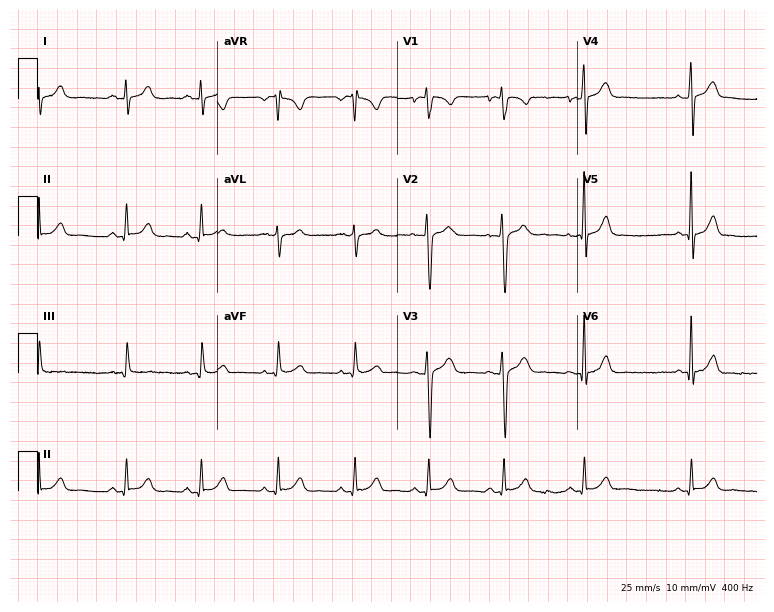
12-lead ECG from a 19-year-old male patient. Labelled as a normal ECG.